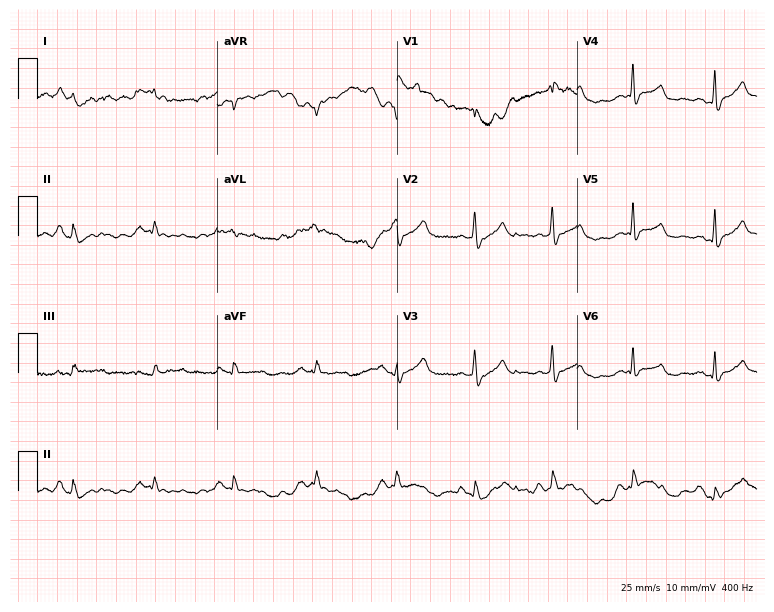
Standard 12-lead ECG recorded from a 70-year-old man. None of these six findings is recorded: first-degree AV block, right bundle branch block (RBBB), left bundle branch block (LBBB), sinus bradycardia, atrial fibrillation (AF), sinus tachycardia. Only these six findings were labelled.